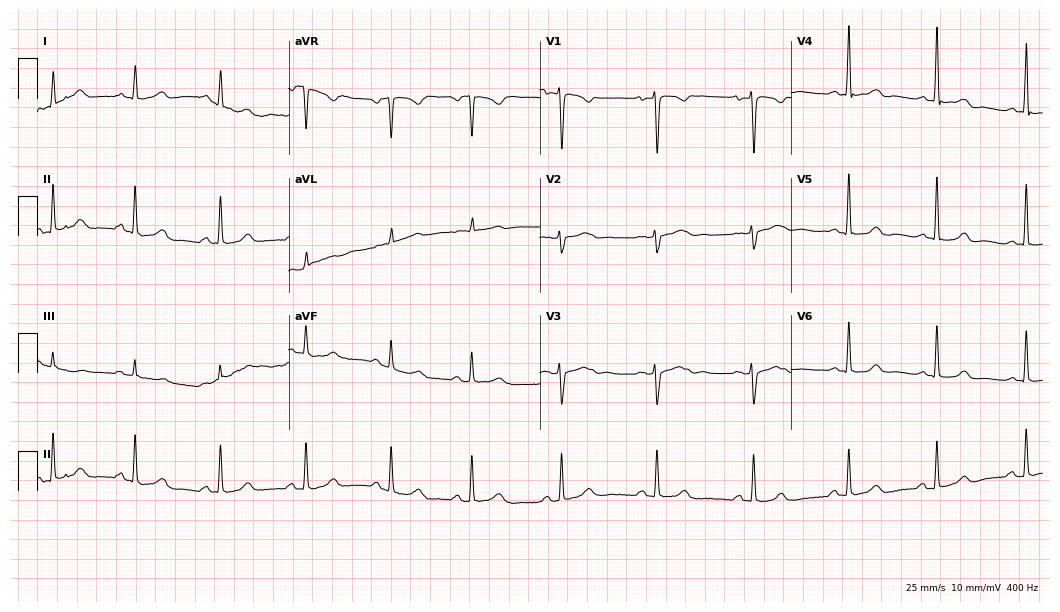
Electrocardiogram, a female patient, 32 years old. Overall reading on record: normal ECG.